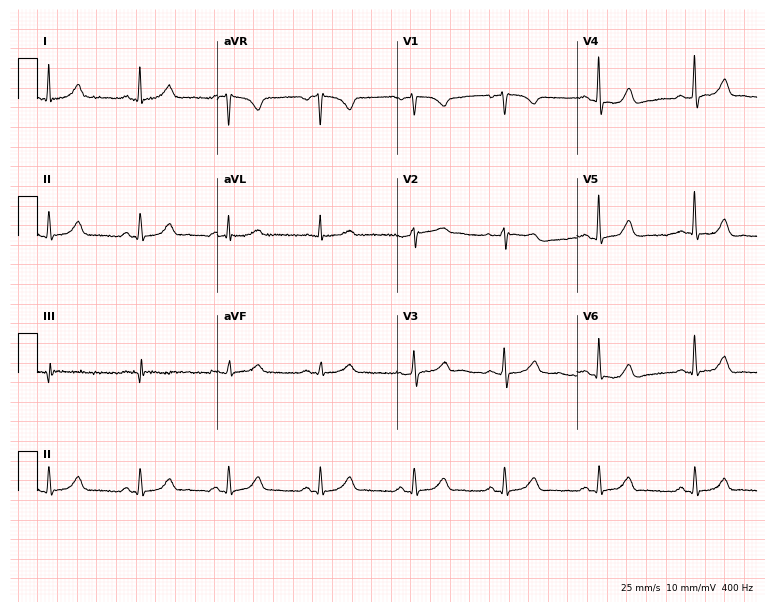
Electrocardiogram (7.3-second recording at 400 Hz), a female, 46 years old. Overall reading on record: normal ECG.